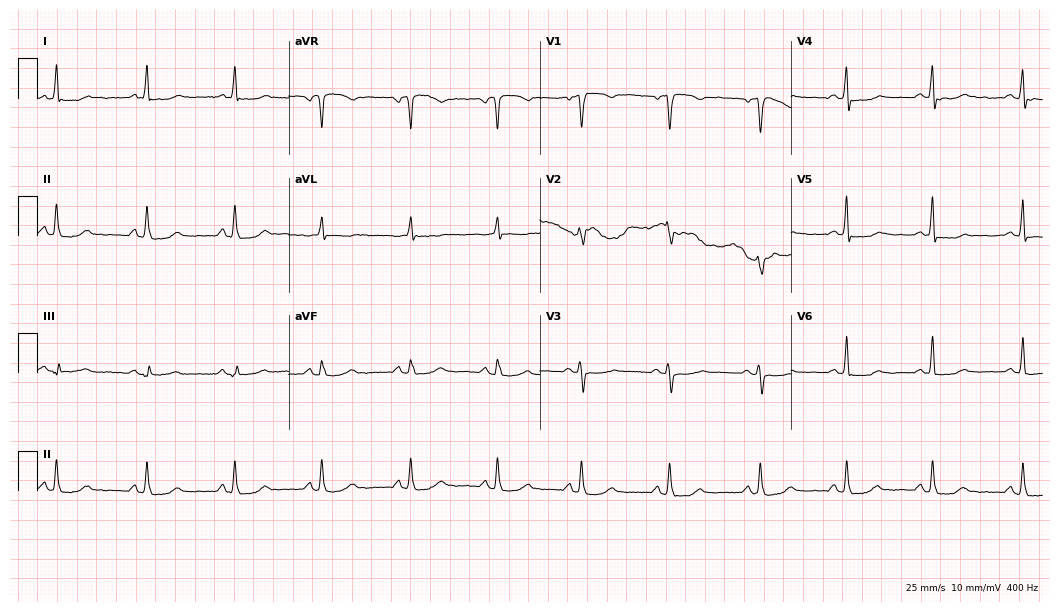
Resting 12-lead electrocardiogram. Patient: a female, 57 years old. Read as a normal ECG.